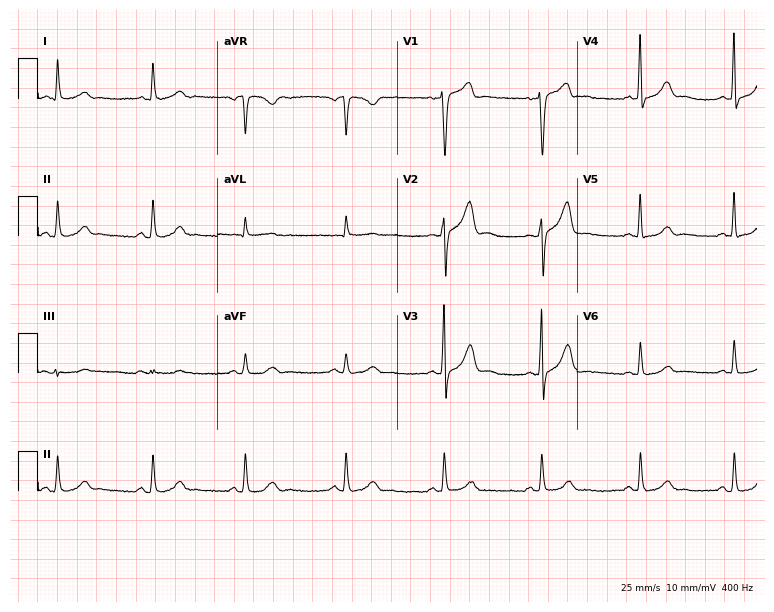
12-lead ECG from a 64-year-old man. Recorded interpretation: within normal limits.